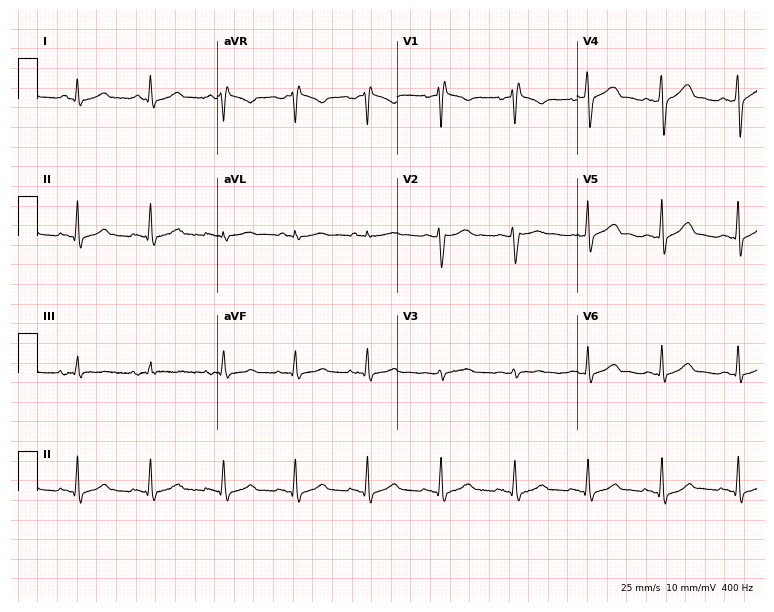
ECG (7.3-second recording at 400 Hz) — a male, 58 years old. Screened for six findings — first-degree AV block, right bundle branch block (RBBB), left bundle branch block (LBBB), sinus bradycardia, atrial fibrillation (AF), sinus tachycardia — none is recorded.